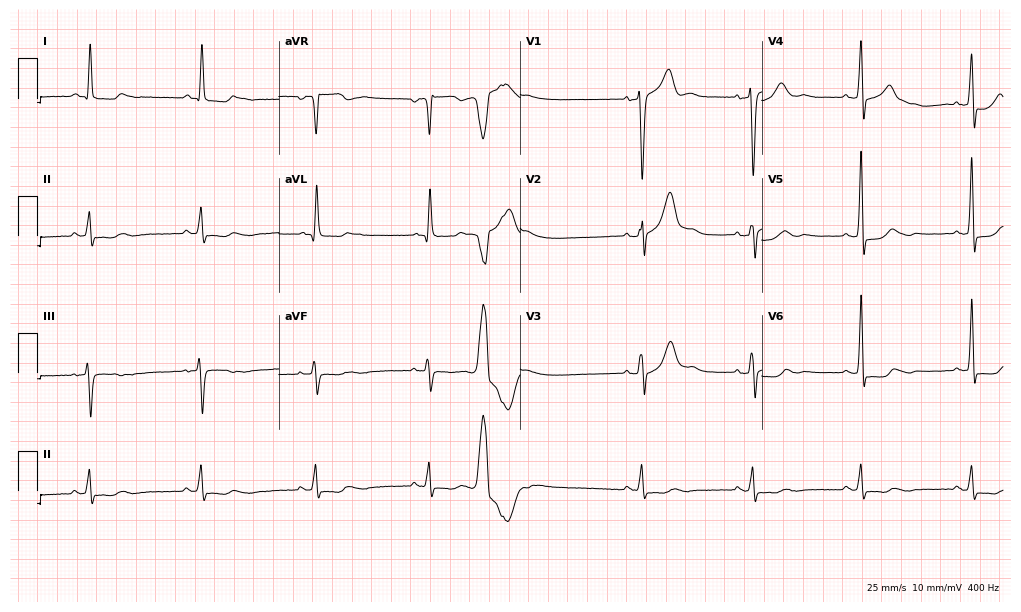
Resting 12-lead electrocardiogram. Patient: a 64-year-old man. None of these six findings is recorded: first-degree AV block, right bundle branch block, left bundle branch block, sinus bradycardia, atrial fibrillation, sinus tachycardia. Only these six findings were labelled.